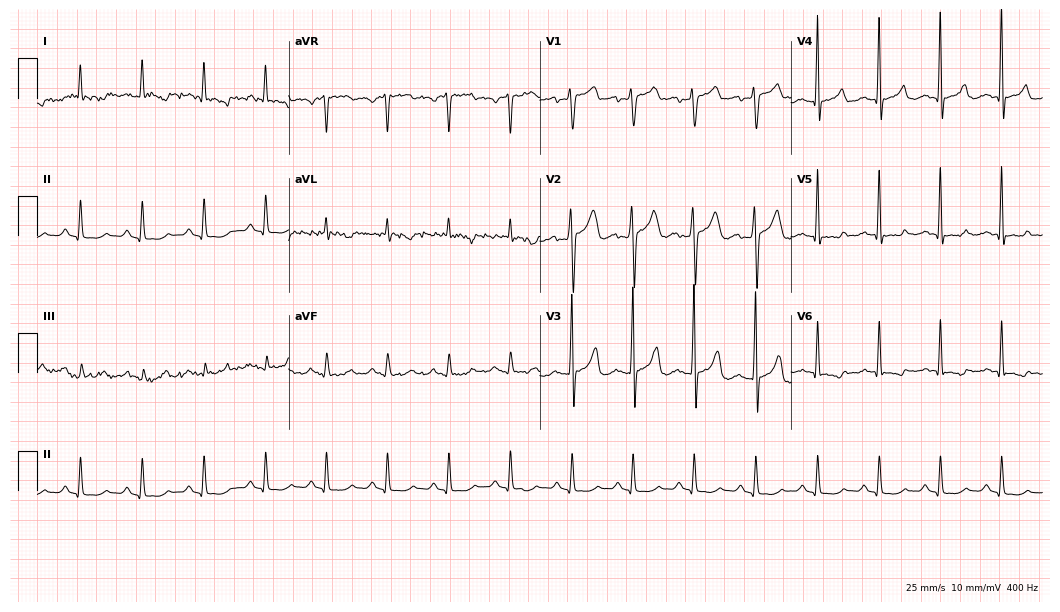
Electrocardiogram, a 46-year-old man. Overall reading on record: normal ECG.